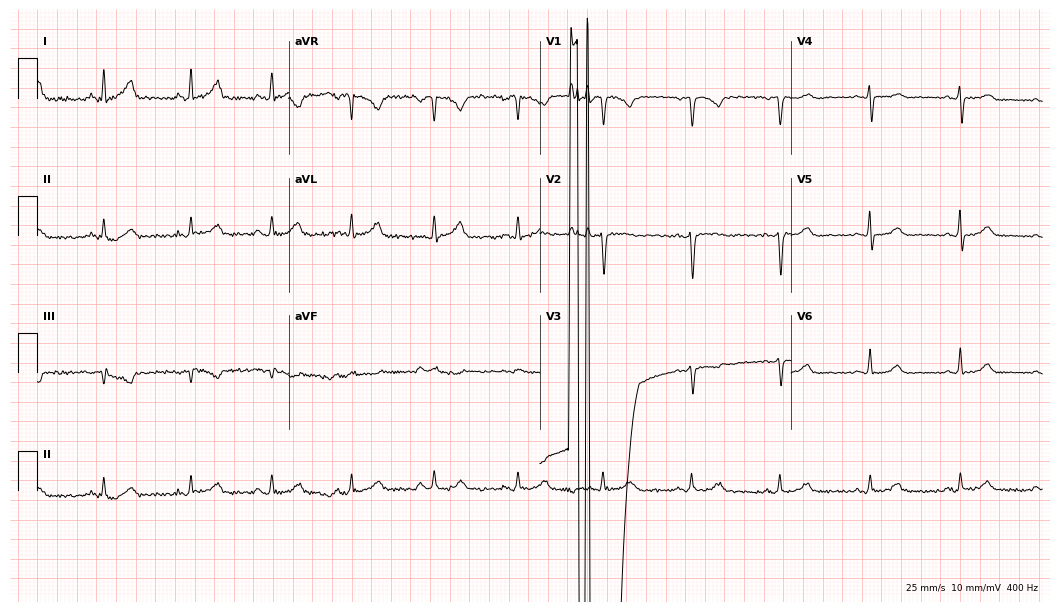
Standard 12-lead ECG recorded from a 46-year-old female. None of these six findings is recorded: first-degree AV block, right bundle branch block, left bundle branch block, sinus bradycardia, atrial fibrillation, sinus tachycardia.